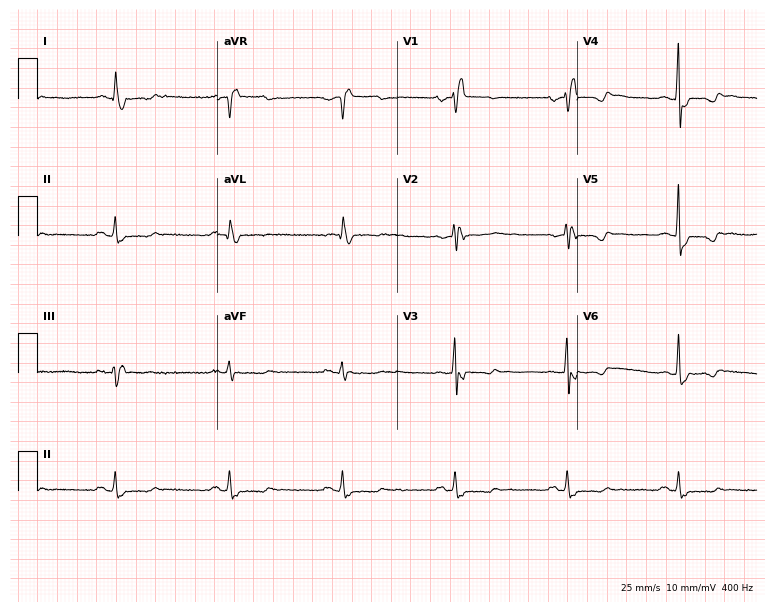
12-lead ECG from a 68-year-old woman. Shows right bundle branch block.